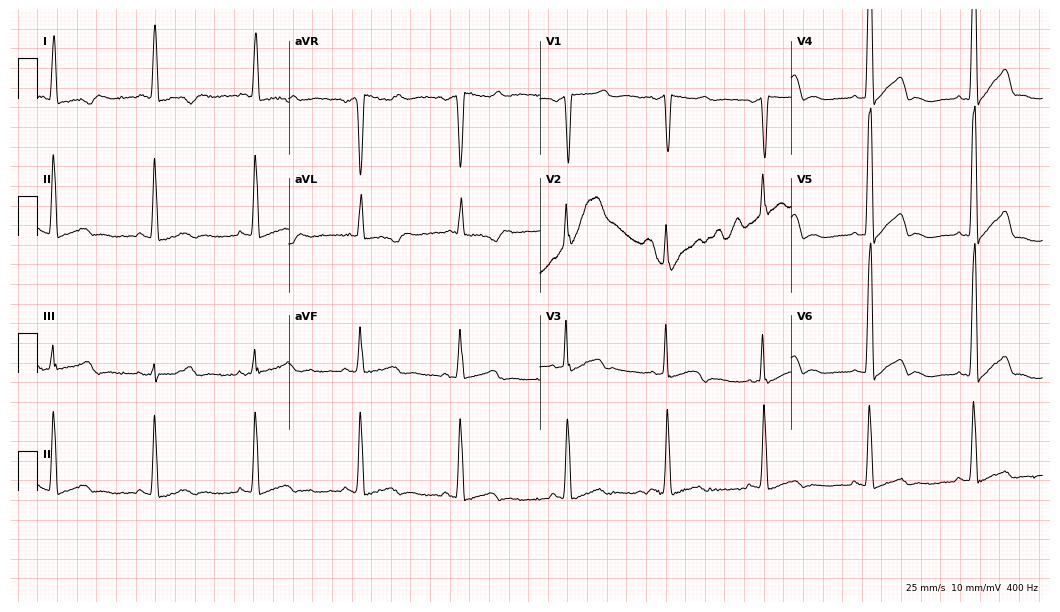
Standard 12-lead ECG recorded from a 78-year-old woman. None of these six findings is recorded: first-degree AV block, right bundle branch block, left bundle branch block, sinus bradycardia, atrial fibrillation, sinus tachycardia.